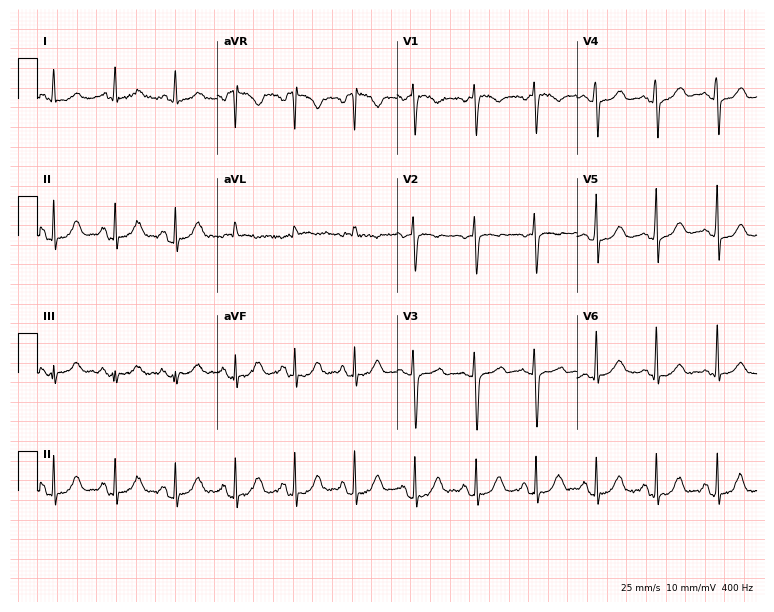
12-lead ECG from a female, 65 years old. Screened for six findings — first-degree AV block, right bundle branch block (RBBB), left bundle branch block (LBBB), sinus bradycardia, atrial fibrillation (AF), sinus tachycardia — none is recorded.